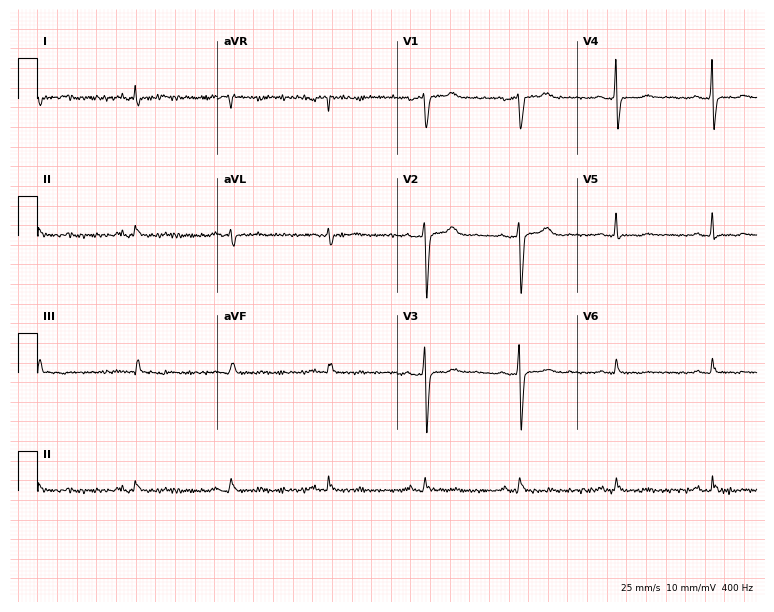
Resting 12-lead electrocardiogram. Patient: a male, 57 years old. None of these six findings is recorded: first-degree AV block, right bundle branch block, left bundle branch block, sinus bradycardia, atrial fibrillation, sinus tachycardia.